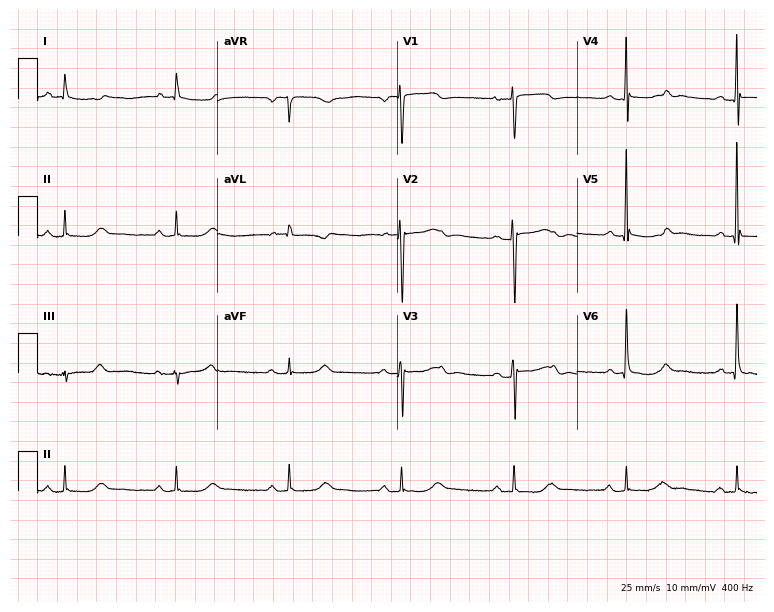
12-lead ECG from a female, 84 years old (7.3-second recording at 400 Hz). No first-degree AV block, right bundle branch block (RBBB), left bundle branch block (LBBB), sinus bradycardia, atrial fibrillation (AF) or sinus tachycardia recorded for this tracing.